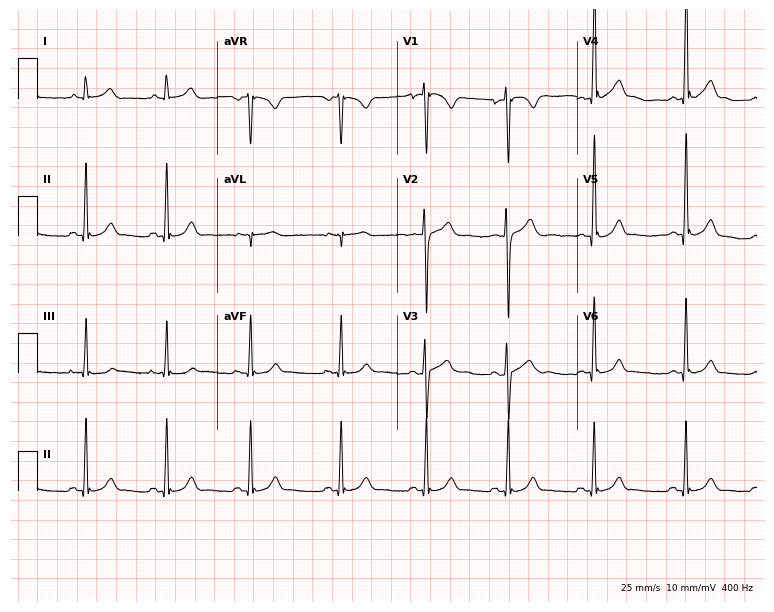
Electrocardiogram (7.3-second recording at 400 Hz), a 33-year-old male patient. Overall reading on record: normal ECG.